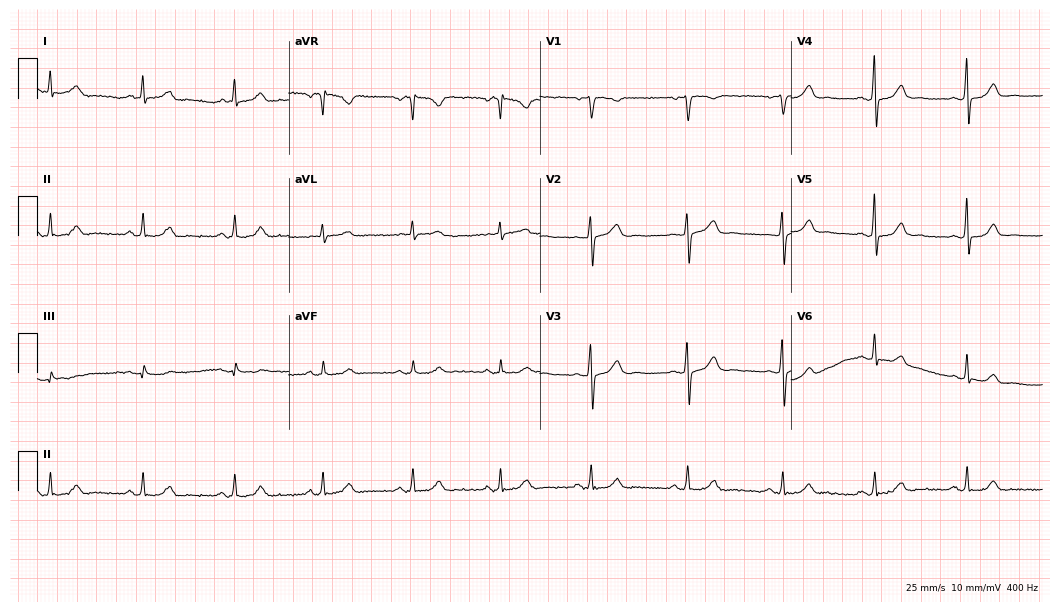
12-lead ECG from a female, 46 years old. Recorded interpretation: within normal limits.